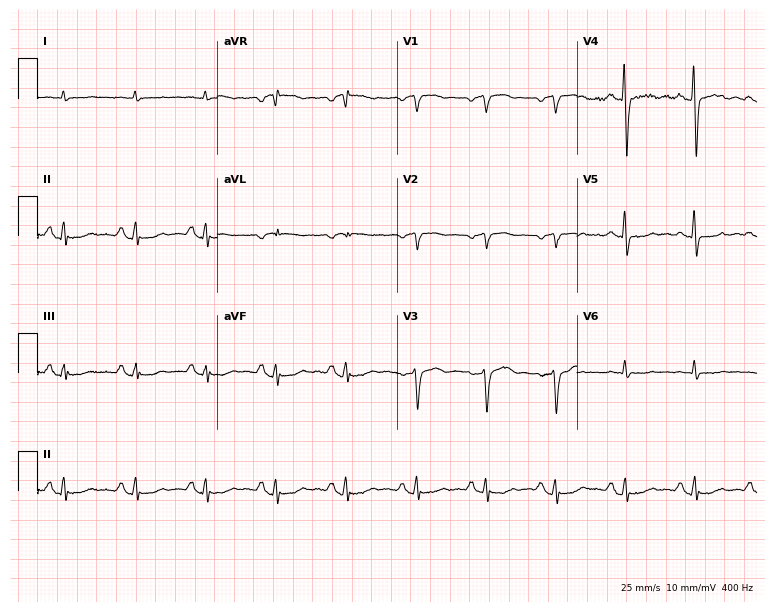
Electrocardiogram (7.3-second recording at 400 Hz), a 79-year-old man. Of the six screened findings (first-degree AV block, right bundle branch block, left bundle branch block, sinus bradycardia, atrial fibrillation, sinus tachycardia), none is recorded. Other findings, if any, are not listed.